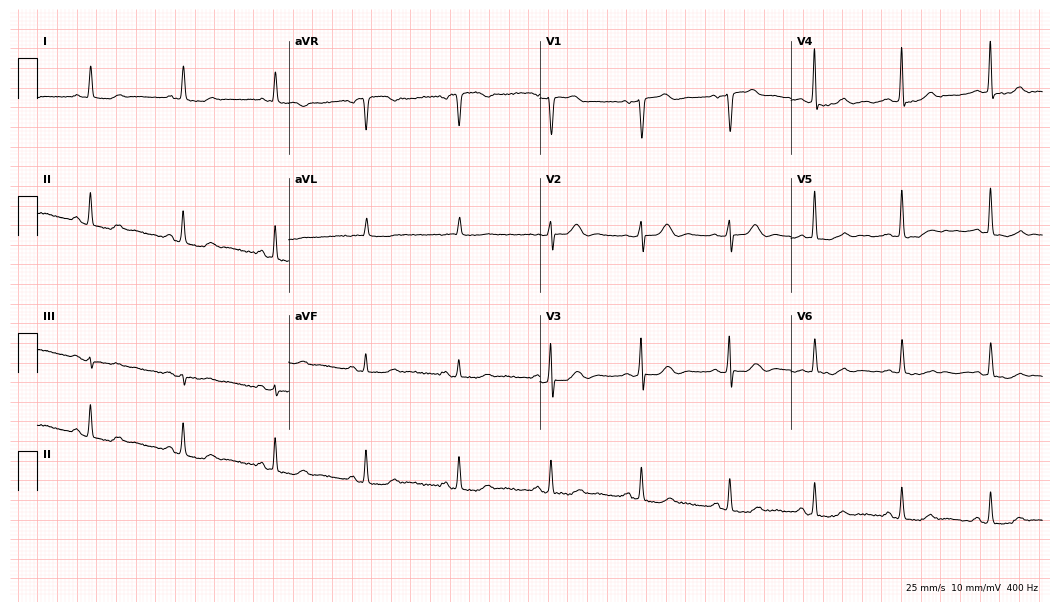
12-lead ECG from a 76-year-old female (10.2-second recording at 400 Hz). No first-degree AV block, right bundle branch block, left bundle branch block, sinus bradycardia, atrial fibrillation or sinus tachycardia recorded for this tracing. Other findings, if any, are not listed.